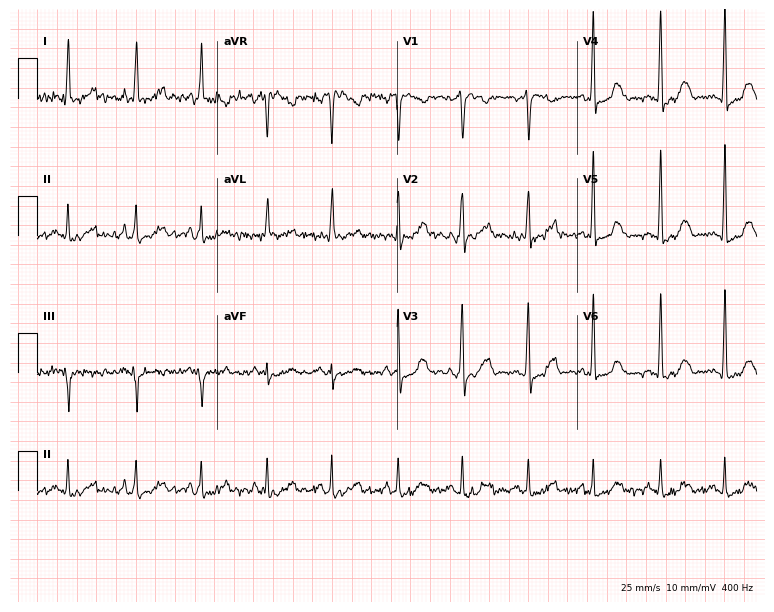
12-lead ECG from a 54-year-old female patient. Recorded interpretation: within normal limits.